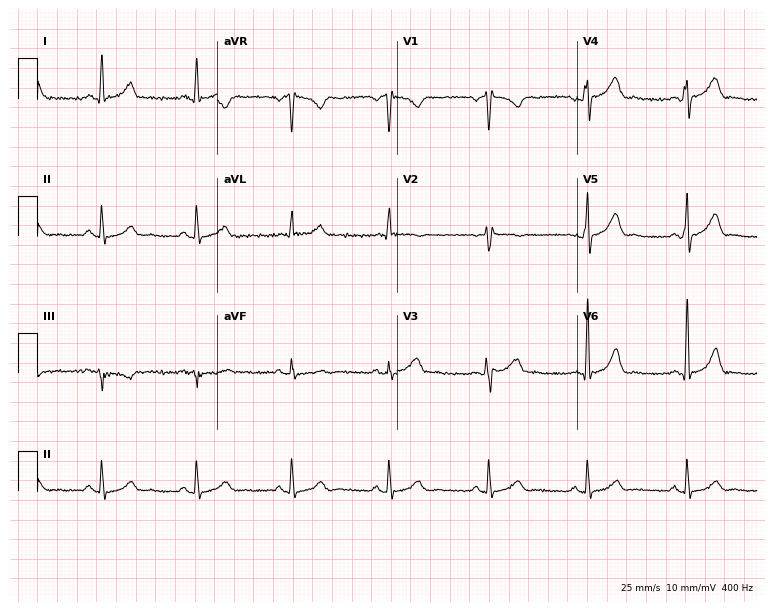
Electrocardiogram (7.3-second recording at 400 Hz), a 35-year-old man. Overall reading on record: normal ECG.